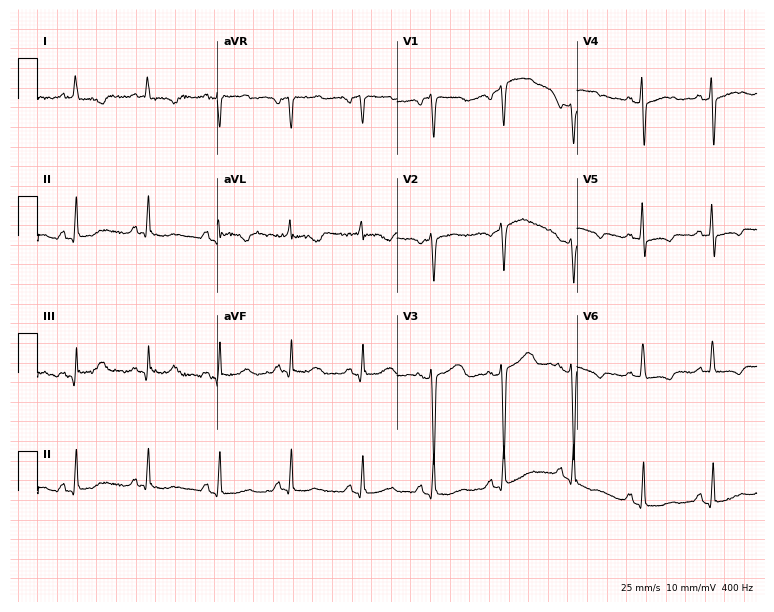
Resting 12-lead electrocardiogram. Patient: a woman, 65 years old. None of these six findings is recorded: first-degree AV block, right bundle branch block, left bundle branch block, sinus bradycardia, atrial fibrillation, sinus tachycardia.